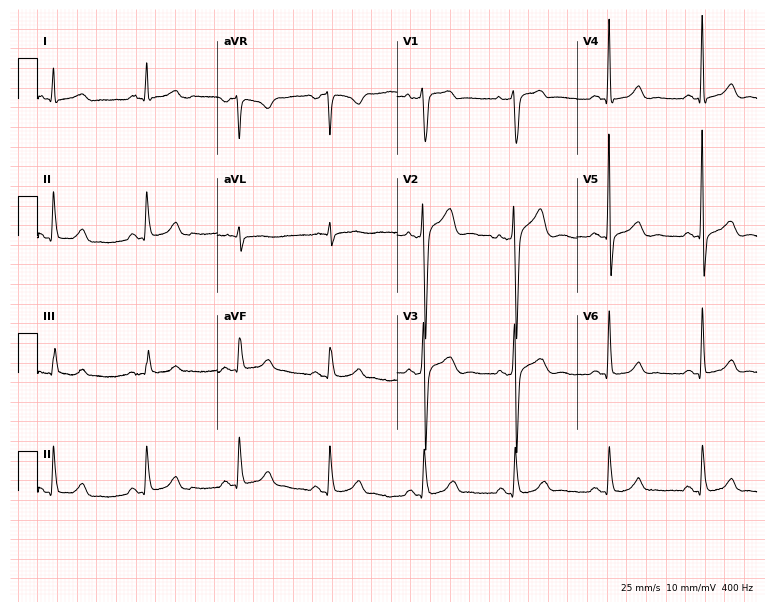
Electrocardiogram (7.3-second recording at 400 Hz), a 56-year-old male. Overall reading on record: normal ECG.